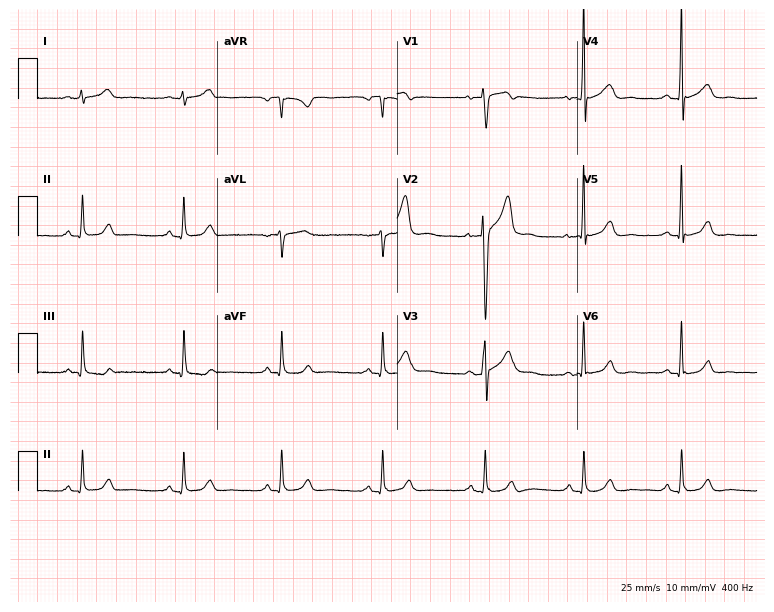
12-lead ECG from a 33-year-old man. Labelled as a normal ECG.